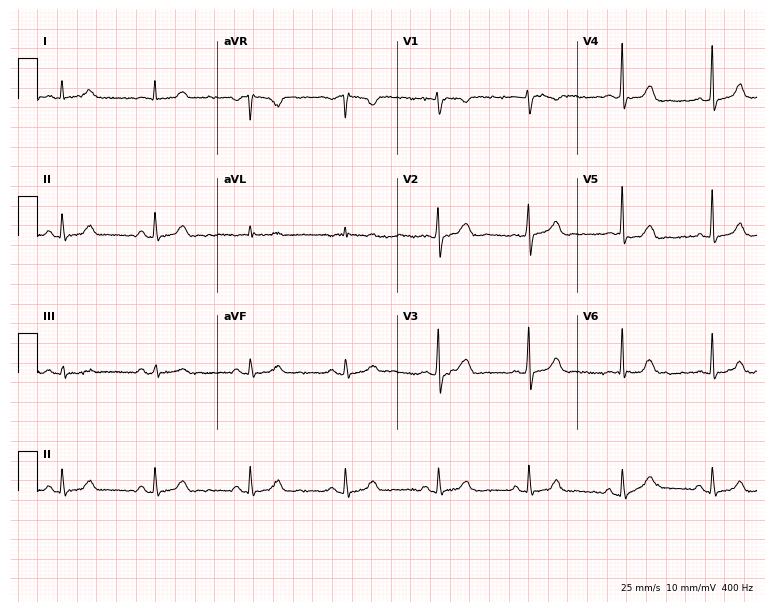
12-lead ECG from a 36-year-old female patient (7.3-second recording at 400 Hz). Recorded interpretation: within normal limits.